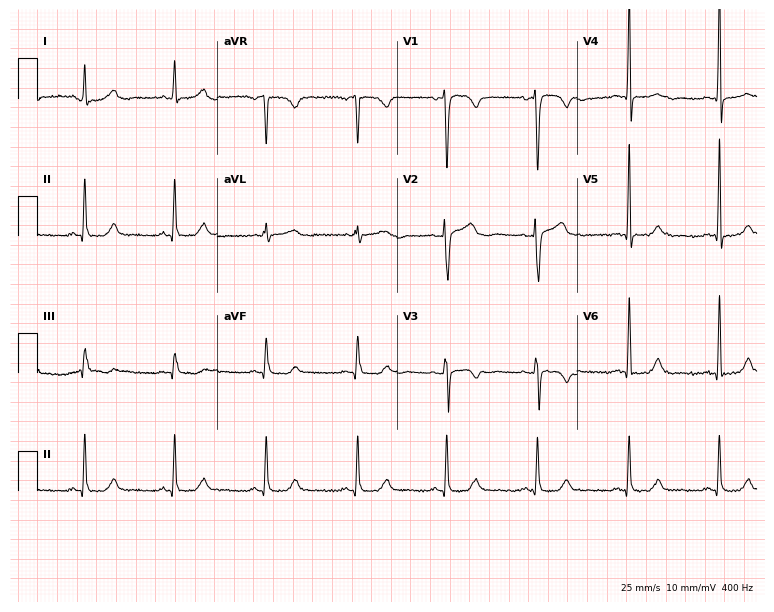
ECG (7.3-second recording at 400 Hz) — a woman, 41 years old. Labelled as a normal ECG.